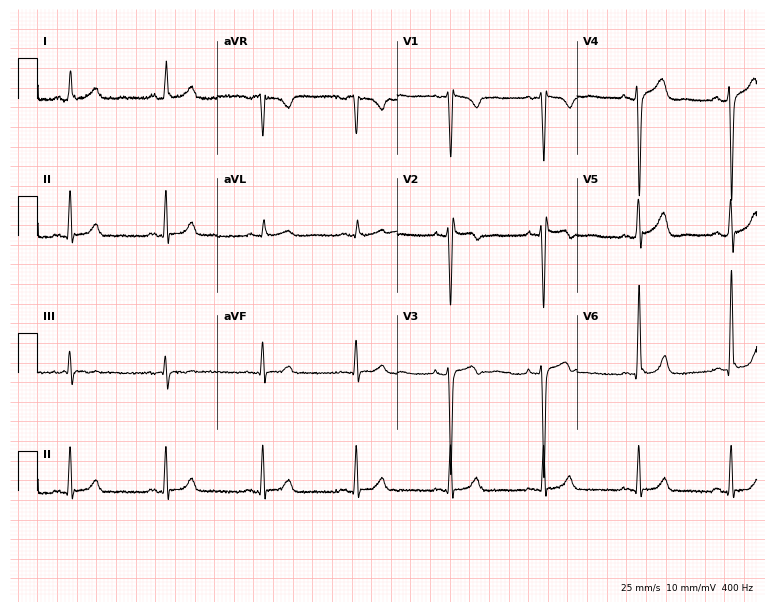
Standard 12-lead ECG recorded from a 44-year-old male. None of these six findings is recorded: first-degree AV block, right bundle branch block, left bundle branch block, sinus bradycardia, atrial fibrillation, sinus tachycardia. Other findings, if any, are not listed.